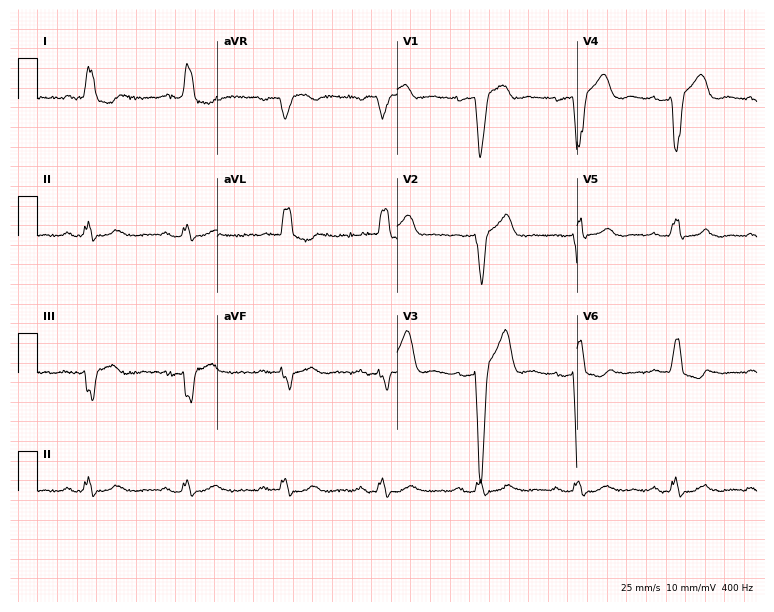
12-lead ECG from an 88-year-old male patient. Findings include left bundle branch block (LBBB).